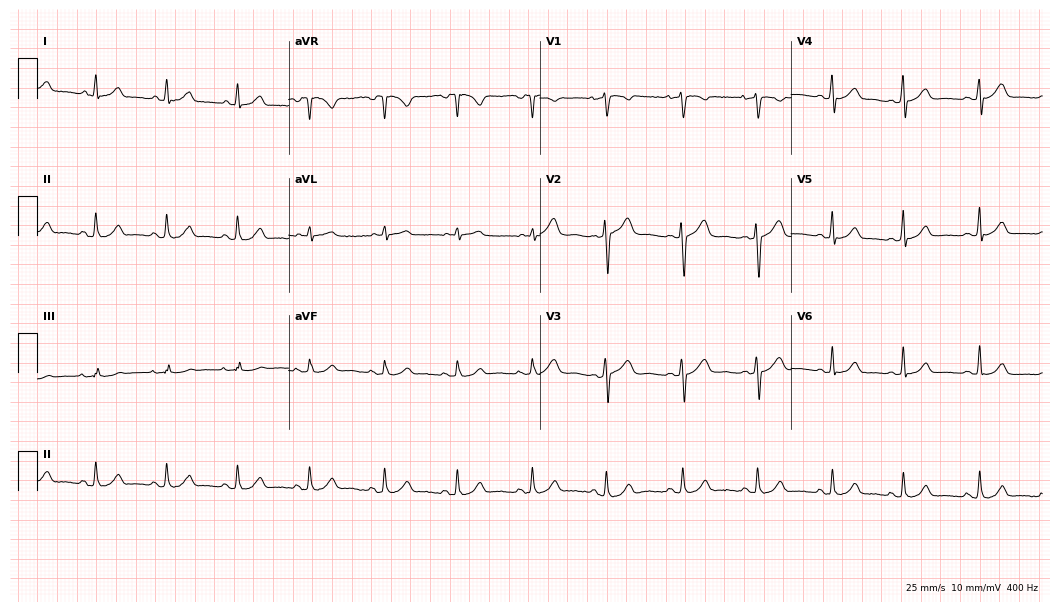
12-lead ECG from a female, 32 years old. Recorded interpretation: within normal limits.